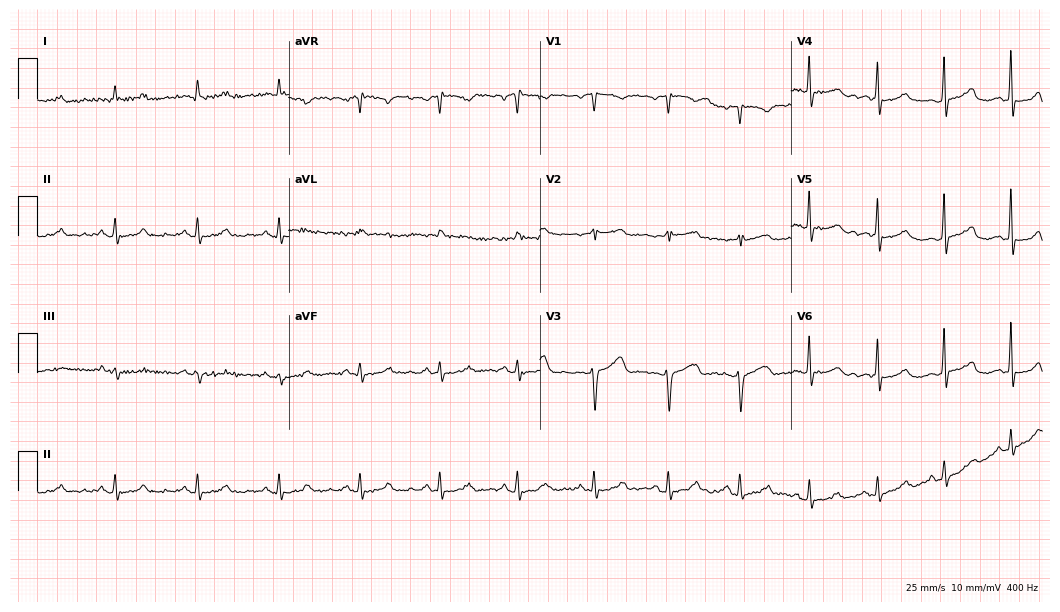
Electrocardiogram, a woman, 48 years old. Of the six screened findings (first-degree AV block, right bundle branch block, left bundle branch block, sinus bradycardia, atrial fibrillation, sinus tachycardia), none is recorded.